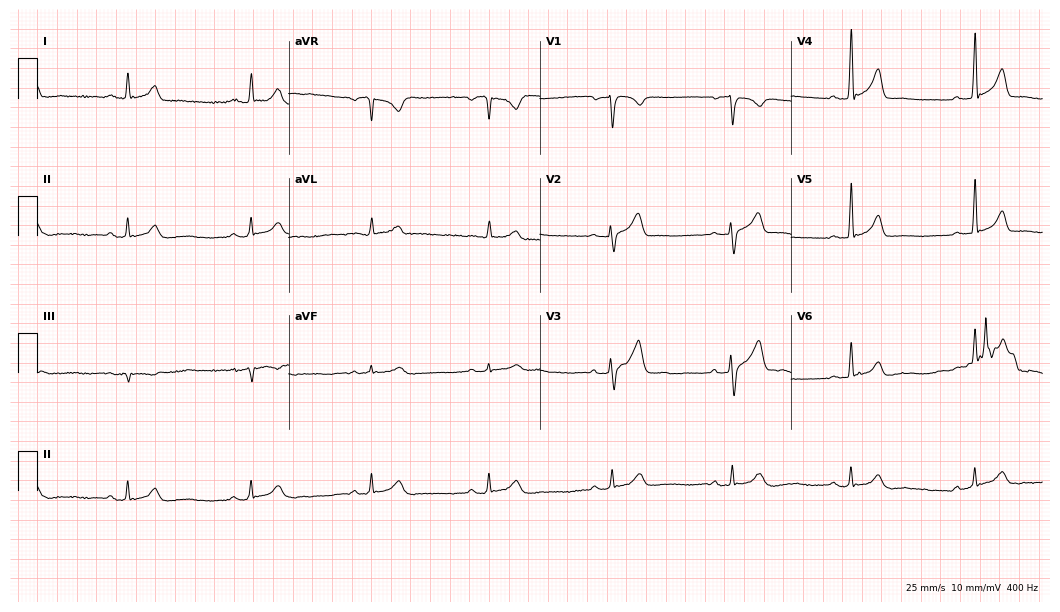
Standard 12-lead ECG recorded from a man, 62 years old. None of these six findings is recorded: first-degree AV block, right bundle branch block, left bundle branch block, sinus bradycardia, atrial fibrillation, sinus tachycardia. Other findings, if any, are not listed.